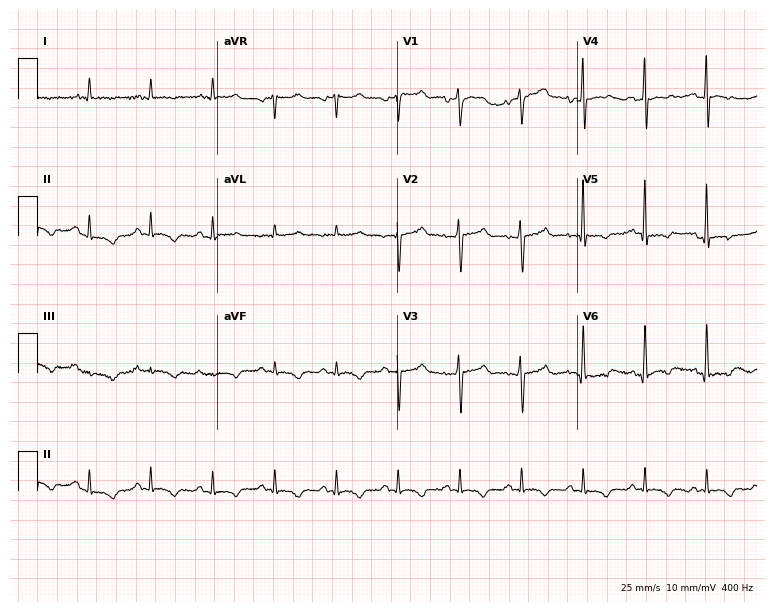
Electrocardiogram (7.3-second recording at 400 Hz), a 68-year-old male patient. Of the six screened findings (first-degree AV block, right bundle branch block, left bundle branch block, sinus bradycardia, atrial fibrillation, sinus tachycardia), none is recorded.